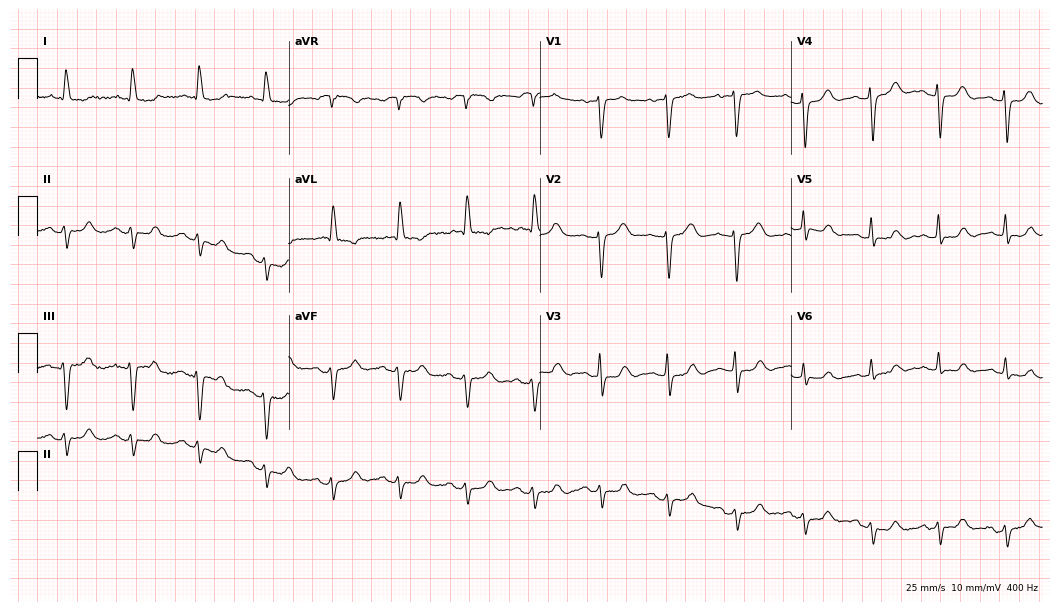
12-lead ECG from a 69-year-old female patient. Screened for six findings — first-degree AV block, right bundle branch block (RBBB), left bundle branch block (LBBB), sinus bradycardia, atrial fibrillation (AF), sinus tachycardia — none is recorded. Only these six findings were labelled.